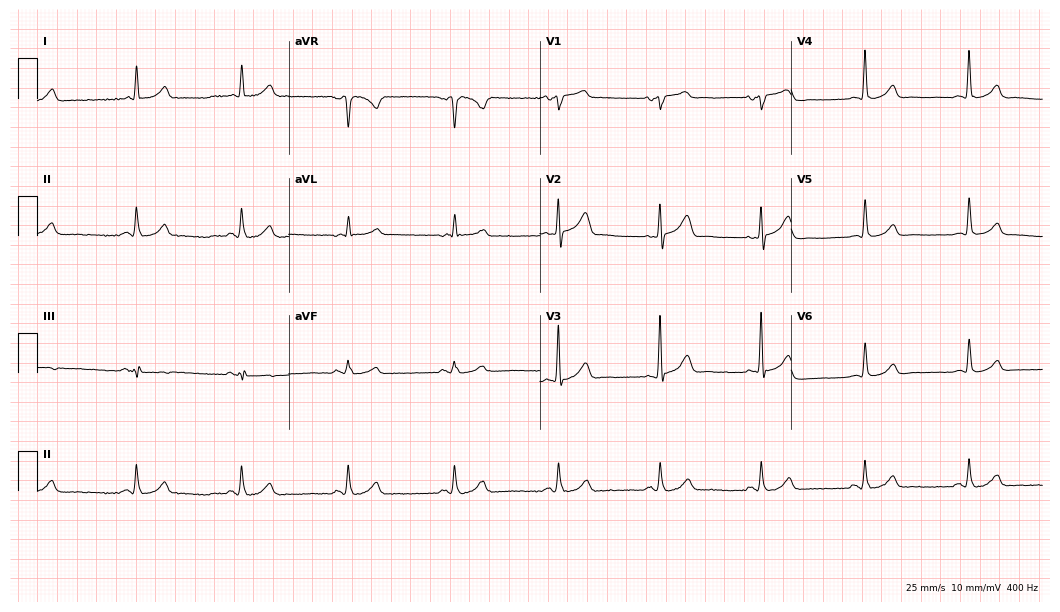
Standard 12-lead ECG recorded from a man, 67 years old (10.2-second recording at 400 Hz). Read as a normal ECG.